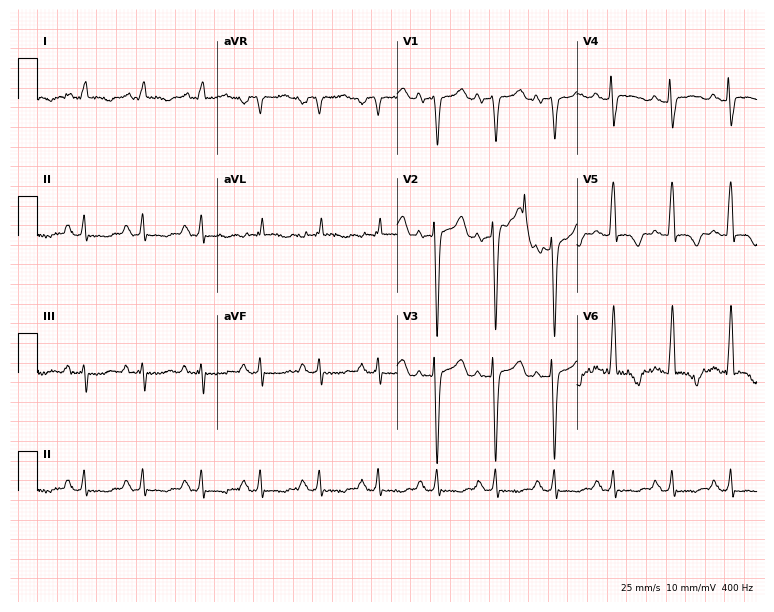
Standard 12-lead ECG recorded from a male, 47 years old. None of these six findings is recorded: first-degree AV block, right bundle branch block, left bundle branch block, sinus bradycardia, atrial fibrillation, sinus tachycardia. Findings outside these six are not listed.